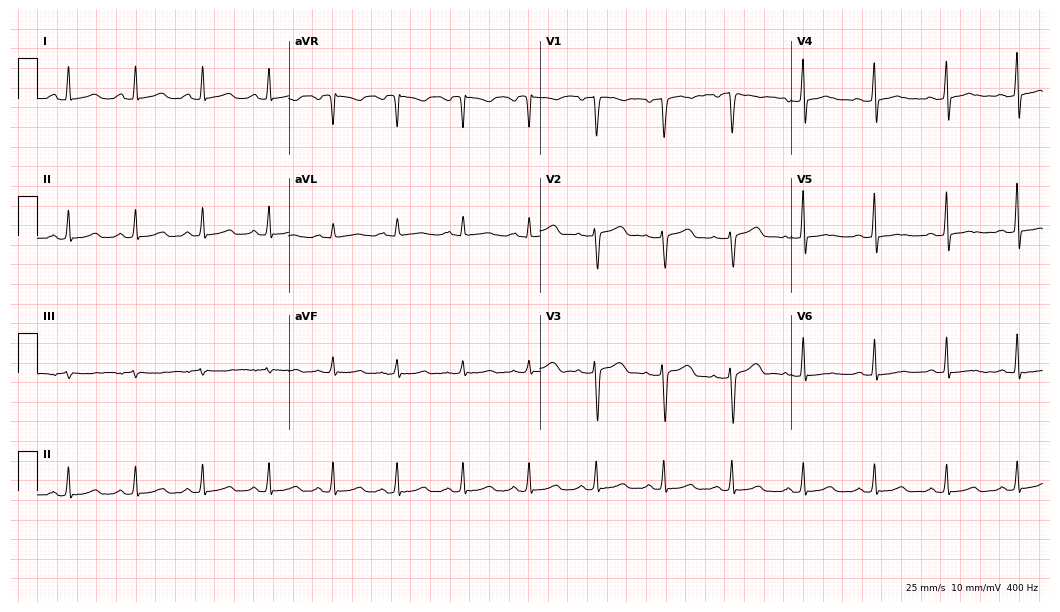
Electrocardiogram, a 44-year-old woman. Of the six screened findings (first-degree AV block, right bundle branch block (RBBB), left bundle branch block (LBBB), sinus bradycardia, atrial fibrillation (AF), sinus tachycardia), none is recorded. Findings outside these six are not listed.